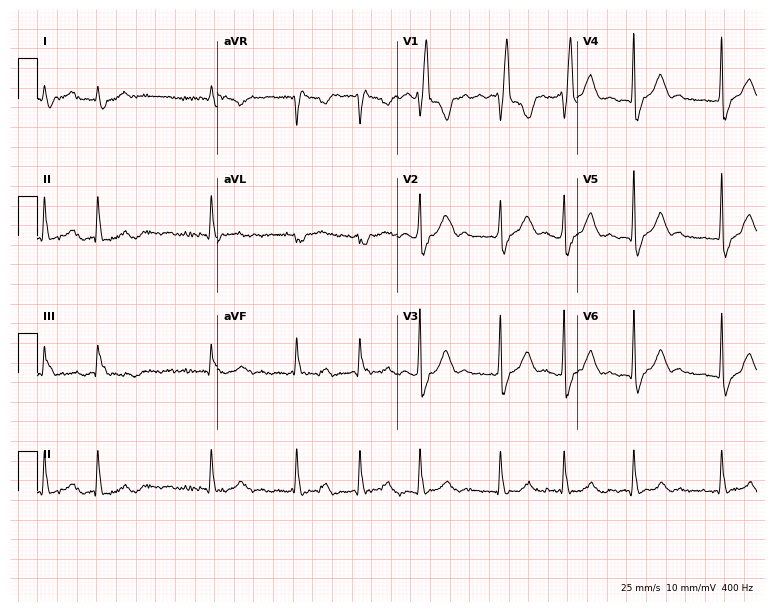
Electrocardiogram (7.3-second recording at 400 Hz), a male patient, 81 years old. Interpretation includes right bundle branch block (RBBB), atrial fibrillation (AF).